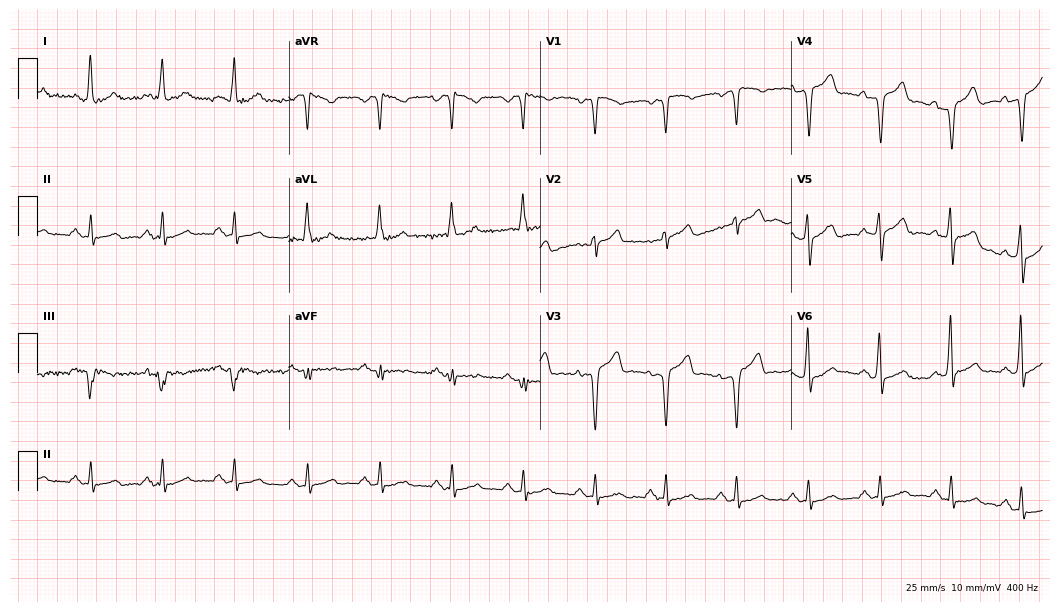
Resting 12-lead electrocardiogram (10.2-second recording at 400 Hz). Patient: a 57-year-old male. Read as a normal ECG.